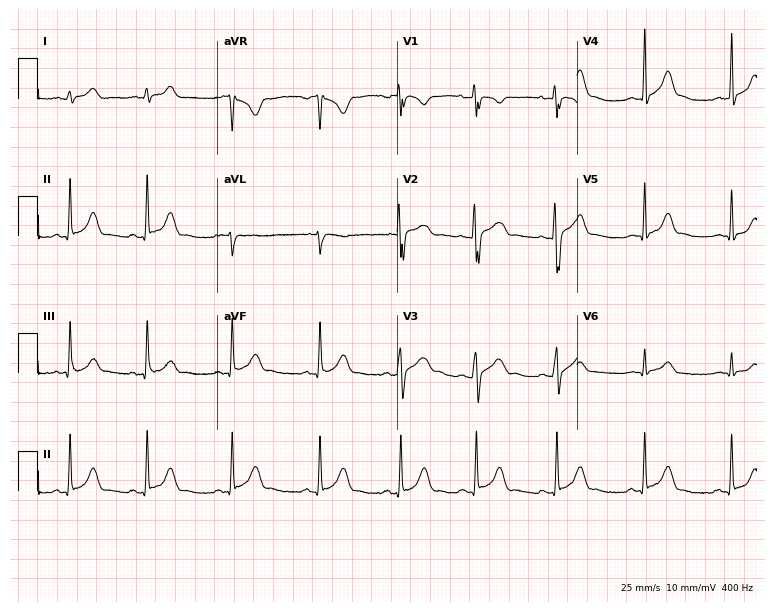
12-lead ECG from a male patient, 20 years old. Recorded interpretation: within normal limits.